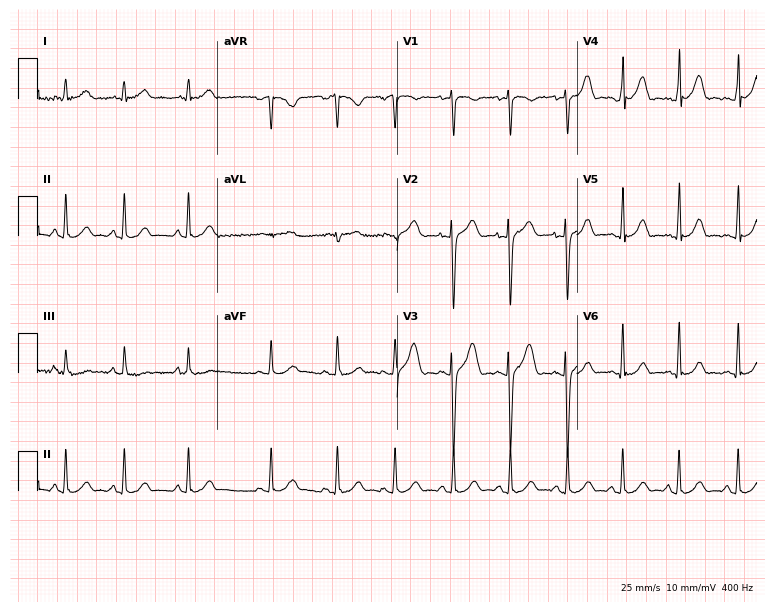
ECG — a 20-year-old female patient. Labelled as a normal ECG.